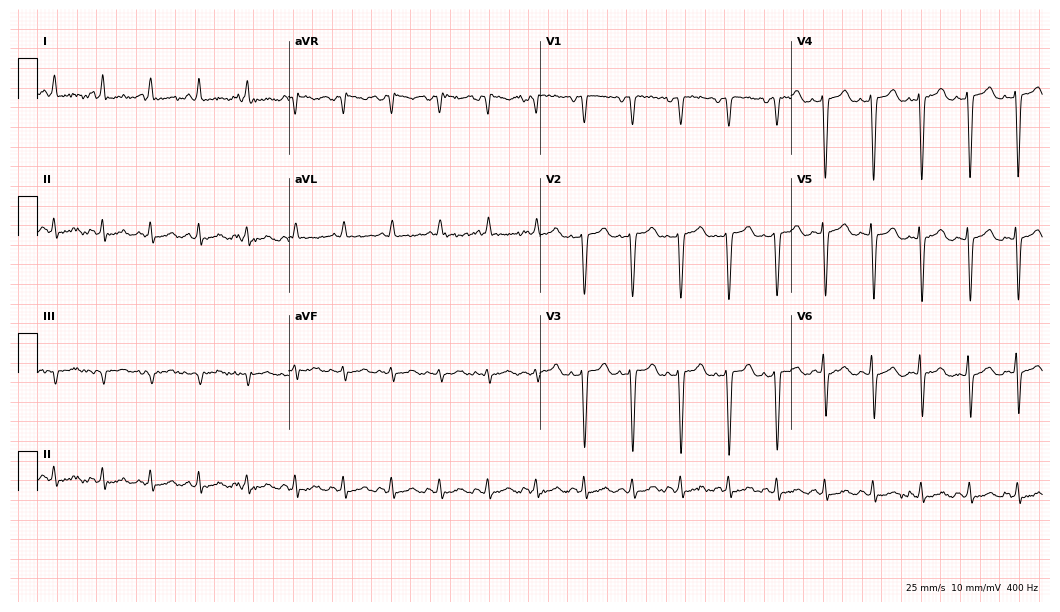
Electrocardiogram (10.2-second recording at 400 Hz), a woman, 67 years old. Of the six screened findings (first-degree AV block, right bundle branch block, left bundle branch block, sinus bradycardia, atrial fibrillation, sinus tachycardia), none is recorded. Other findings, if any, are not listed.